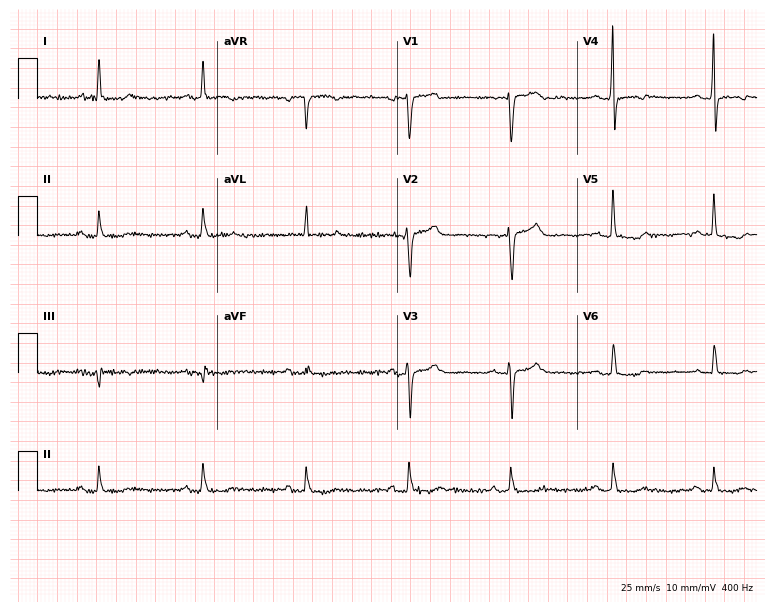
12-lead ECG from a woman, 74 years old. Screened for six findings — first-degree AV block, right bundle branch block, left bundle branch block, sinus bradycardia, atrial fibrillation, sinus tachycardia — none is recorded. Only these six findings were labelled.